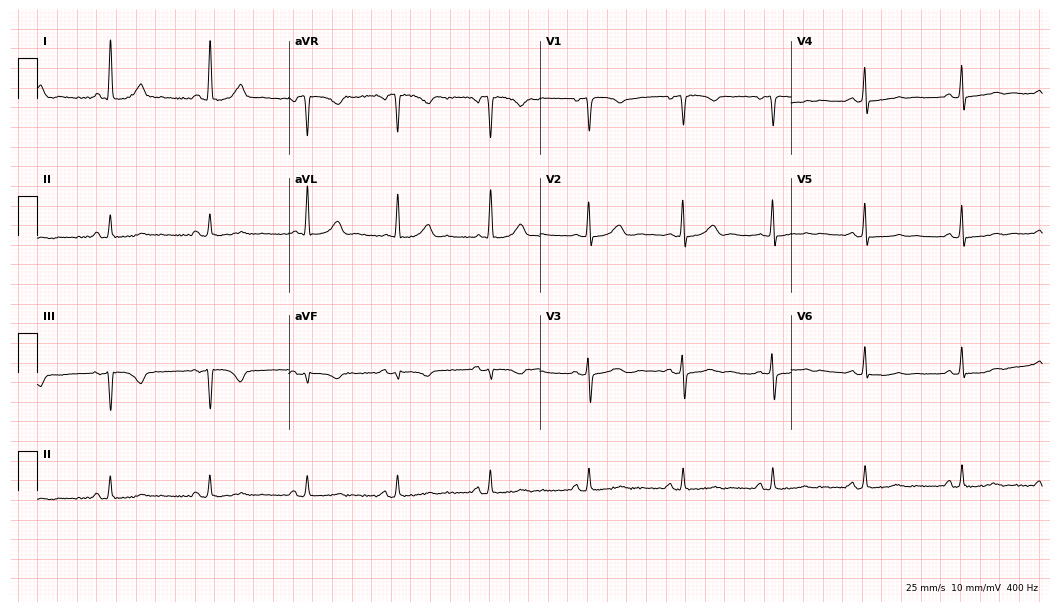
ECG (10.2-second recording at 400 Hz) — a female, 50 years old. Screened for six findings — first-degree AV block, right bundle branch block (RBBB), left bundle branch block (LBBB), sinus bradycardia, atrial fibrillation (AF), sinus tachycardia — none is recorded.